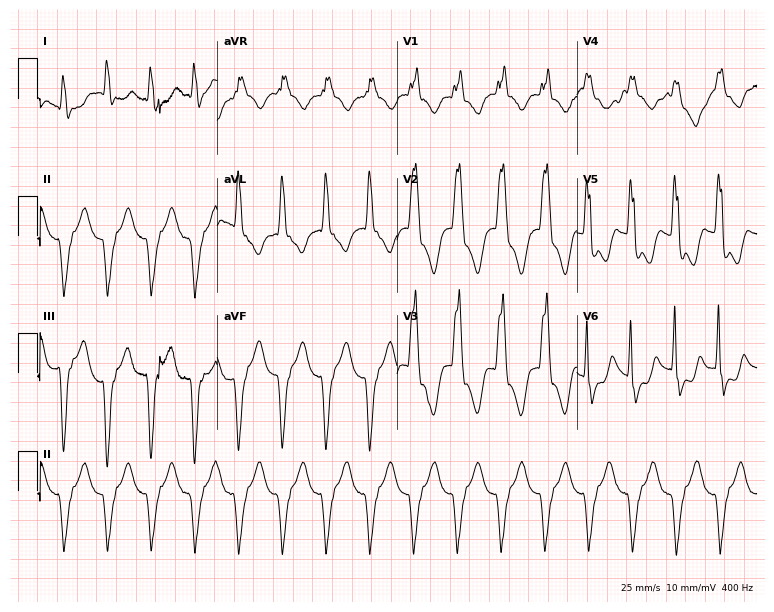
ECG (7.3-second recording at 400 Hz) — a 52-year-old male. Screened for six findings — first-degree AV block, right bundle branch block (RBBB), left bundle branch block (LBBB), sinus bradycardia, atrial fibrillation (AF), sinus tachycardia — none is recorded.